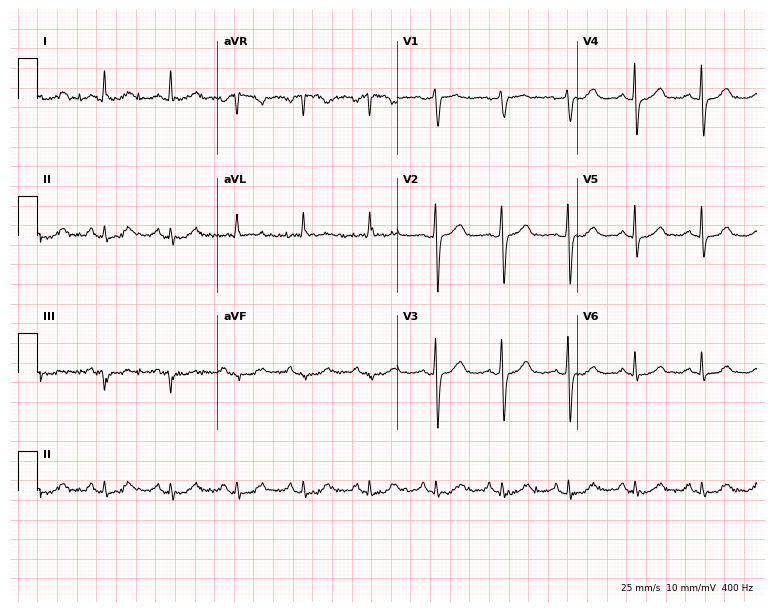
12-lead ECG from a 79-year-old female patient. Recorded interpretation: within normal limits.